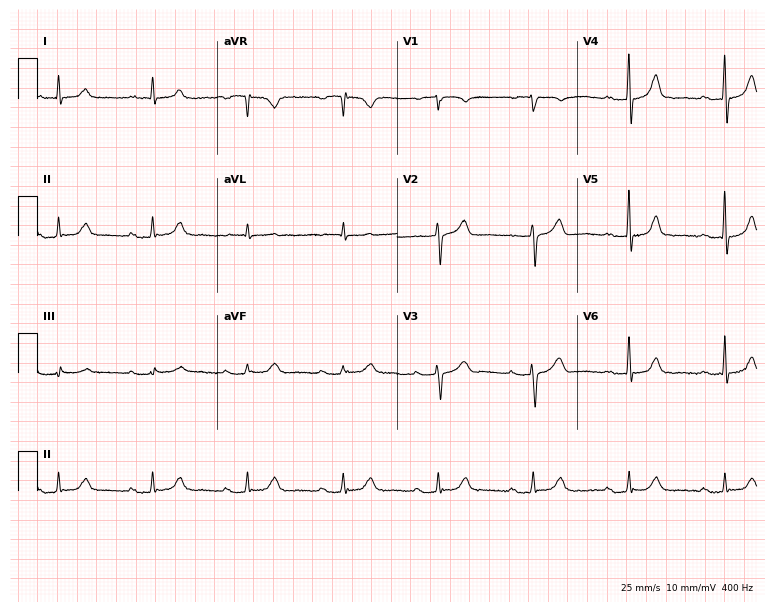
ECG — a male patient, 84 years old. Findings include first-degree AV block.